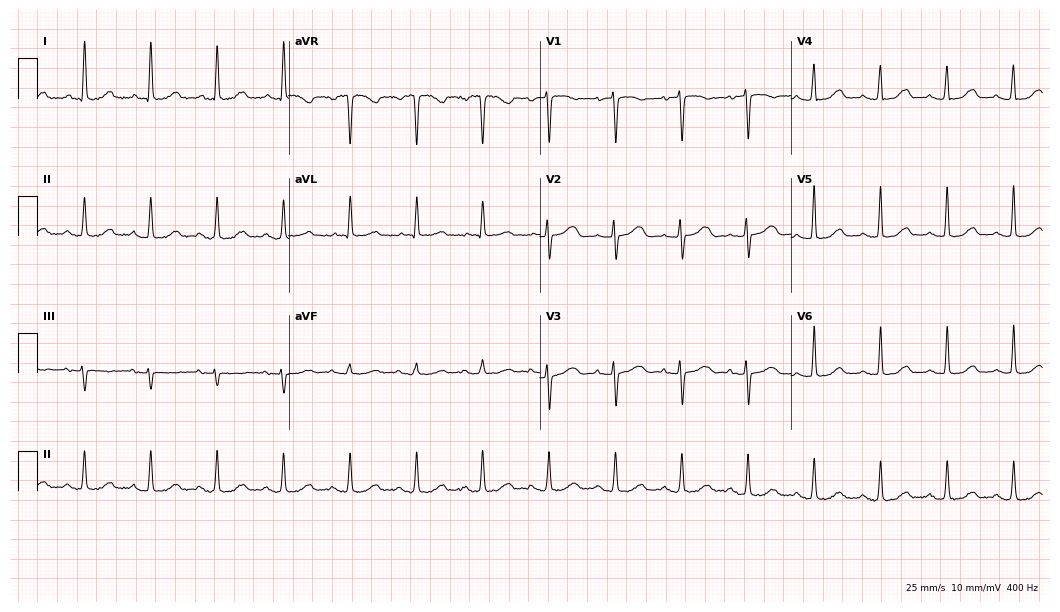
Electrocardiogram (10.2-second recording at 400 Hz), a woman, 78 years old. Overall reading on record: normal ECG.